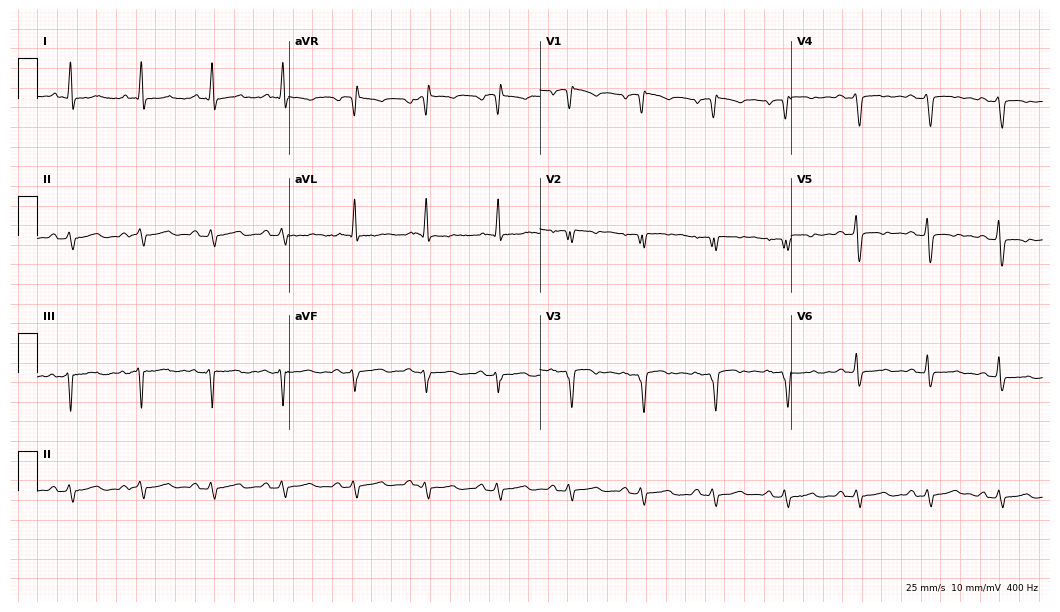
ECG — a male patient, 64 years old. Screened for six findings — first-degree AV block, right bundle branch block, left bundle branch block, sinus bradycardia, atrial fibrillation, sinus tachycardia — none is recorded. Only these six findings were labelled.